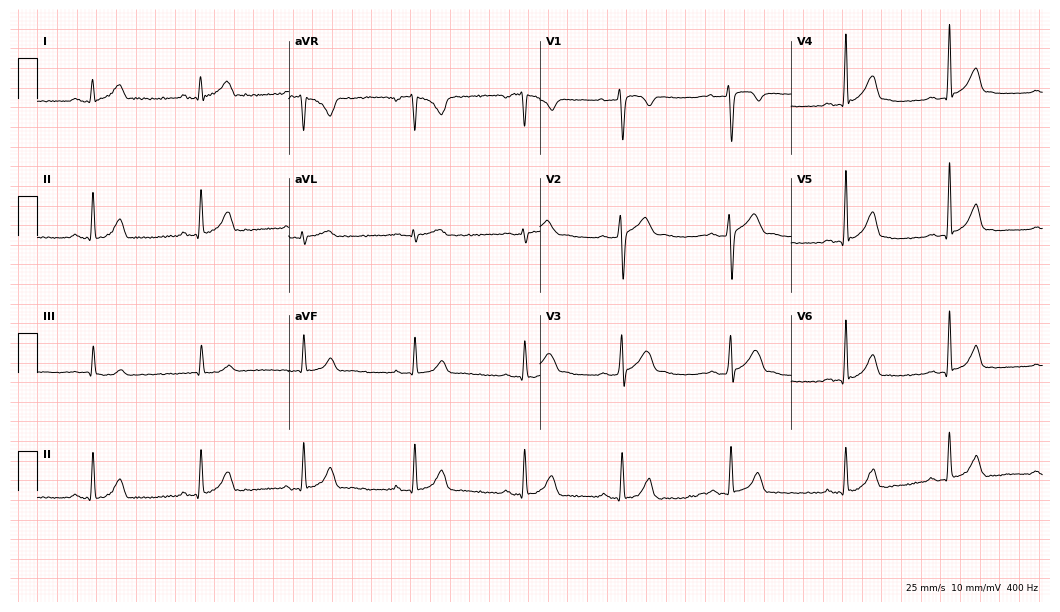
Electrocardiogram, a male patient, 23 years old. Overall reading on record: normal ECG.